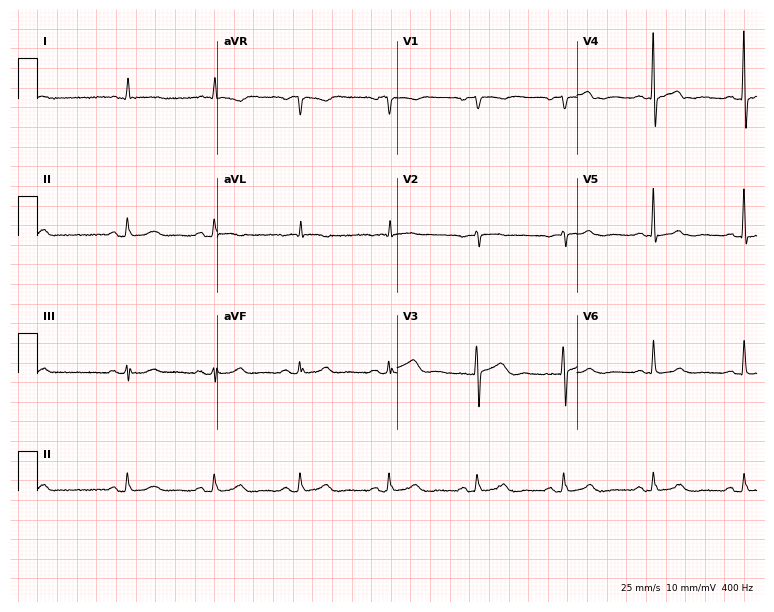
Resting 12-lead electrocardiogram (7.3-second recording at 400 Hz). Patient: a female, 81 years old. None of these six findings is recorded: first-degree AV block, right bundle branch block (RBBB), left bundle branch block (LBBB), sinus bradycardia, atrial fibrillation (AF), sinus tachycardia. Findings outside these six are not listed.